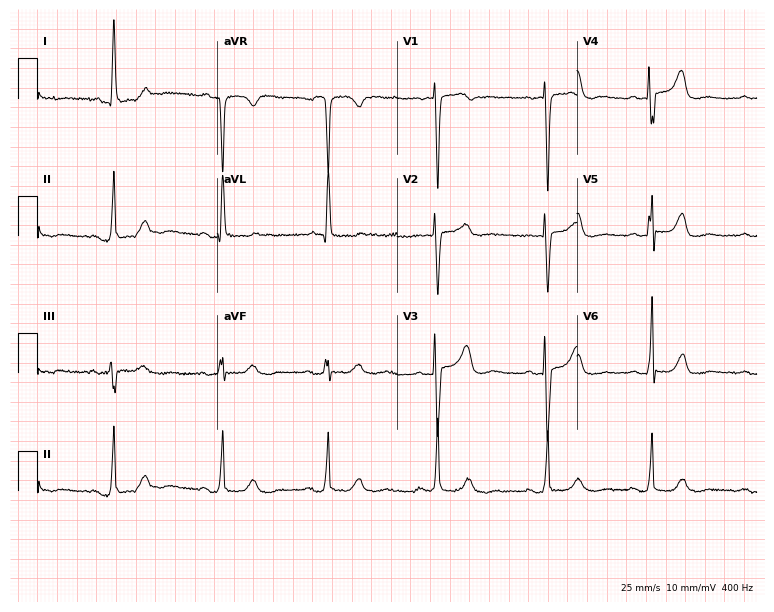
12-lead ECG from a 73-year-old female. Labelled as a normal ECG.